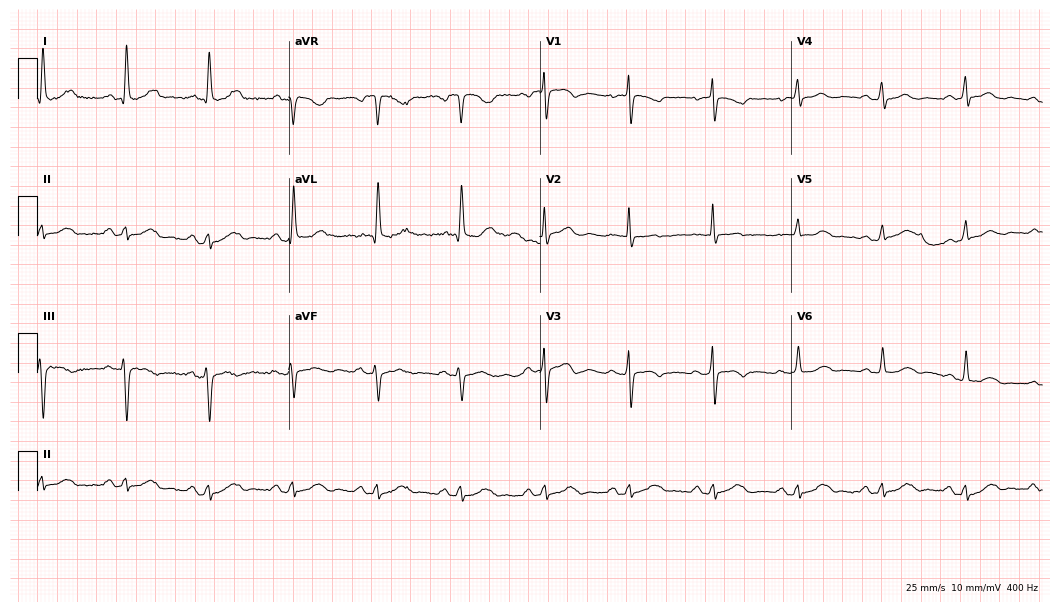
Electrocardiogram (10.2-second recording at 400 Hz), a 74-year-old woman. Of the six screened findings (first-degree AV block, right bundle branch block, left bundle branch block, sinus bradycardia, atrial fibrillation, sinus tachycardia), none is recorded.